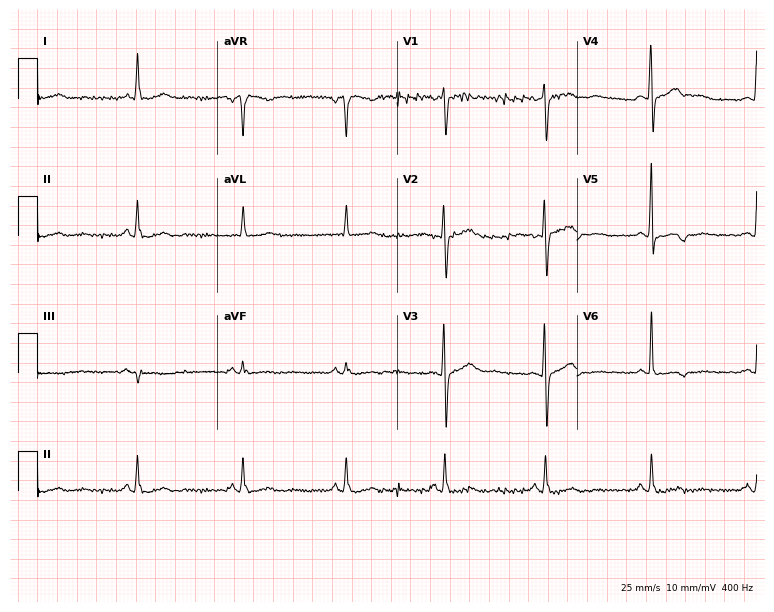
12-lead ECG from a 49-year-old female patient. Screened for six findings — first-degree AV block, right bundle branch block, left bundle branch block, sinus bradycardia, atrial fibrillation, sinus tachycardia — none is recorded.